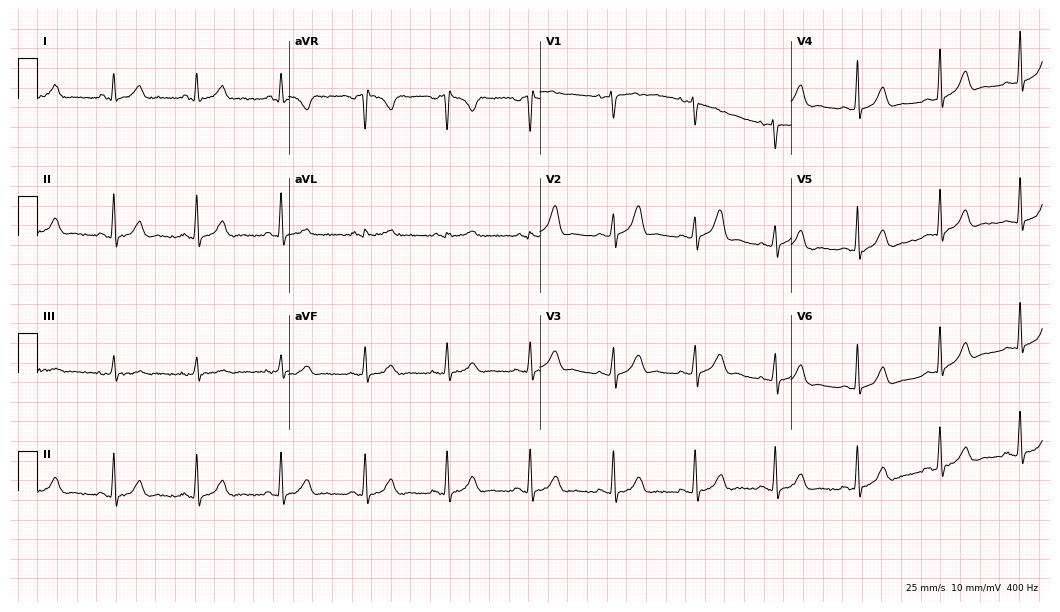
Standard 12-lead ECG recorded from a woman, 34 years old. Read as a normal ECG.